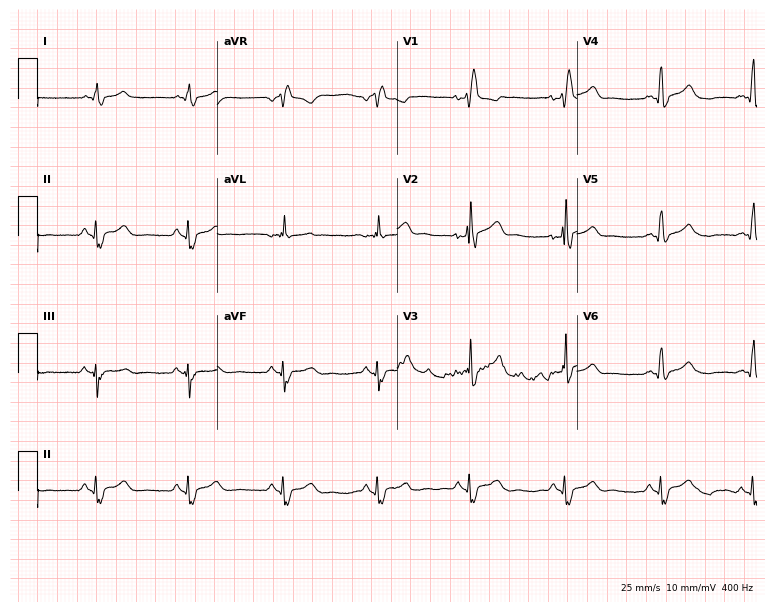
Electrocardiogram (7.3-second recording at 400 Hz), a 42-year-old male patient. Interpretation includes right bundle branch block.